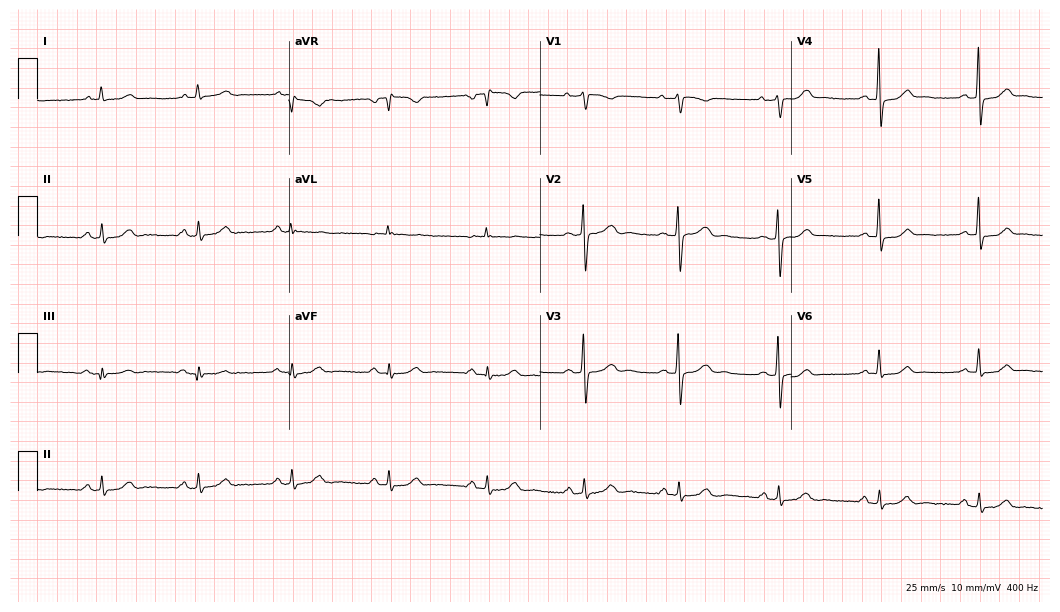
12-lead ECG from a 57-year-old male patient. Recorded interpretation: within normal limits.